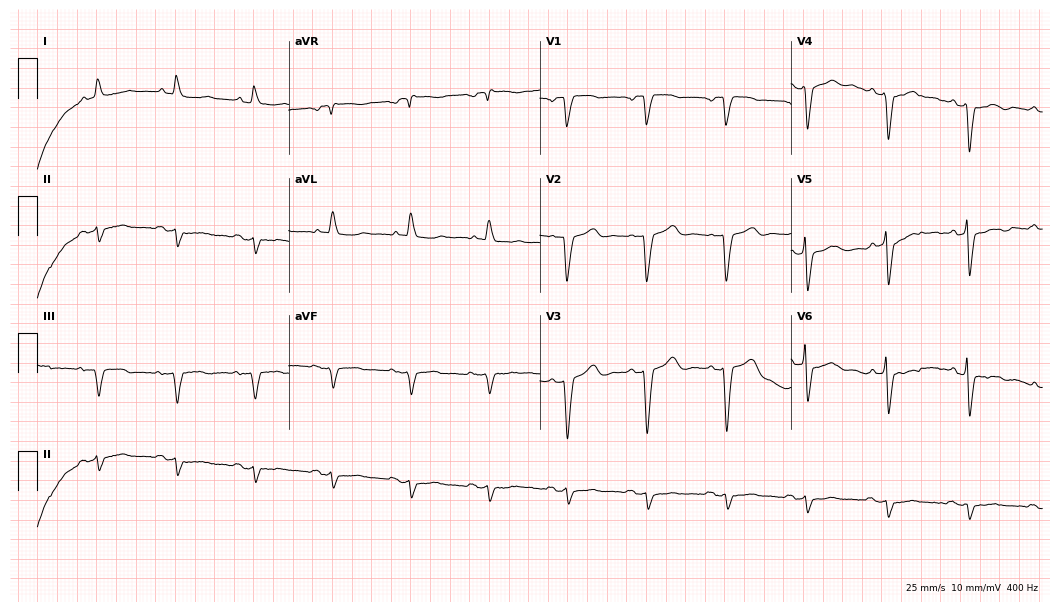
Resting 12-lead electrocardiogram (10.2-second recording at 400 Hz). Patient: a man, 85 years old. The tracing shows left bundle branch block.